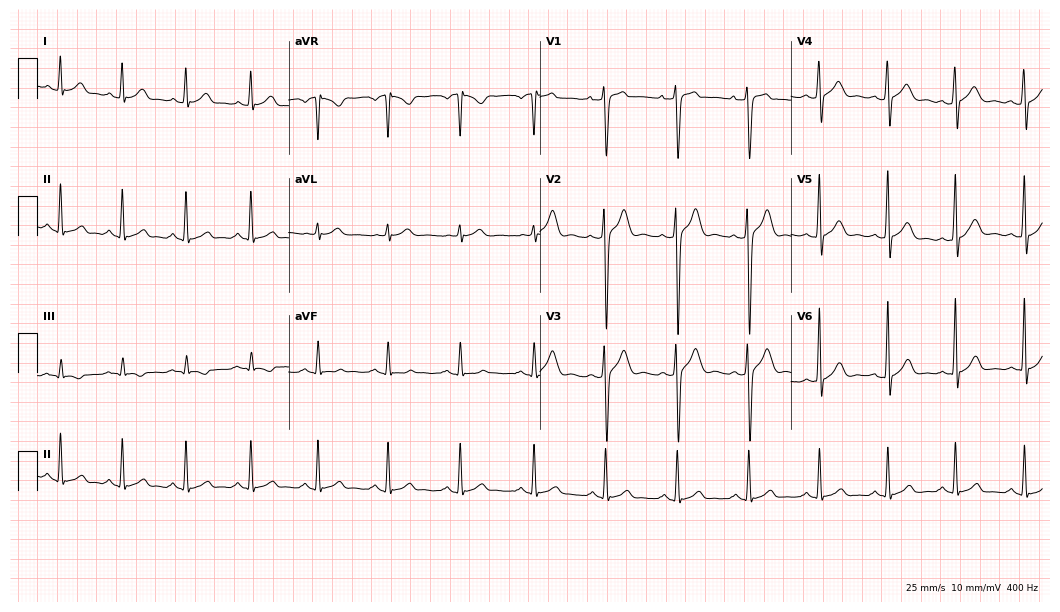
12-lead ECG from a 28-year-old male patient. Screened for six findings — first-degree AV block, right bundle branch block, left bundle branch block, sinus bradycardia, atrial fibrillation, sinus tachycardia — none is recorded.